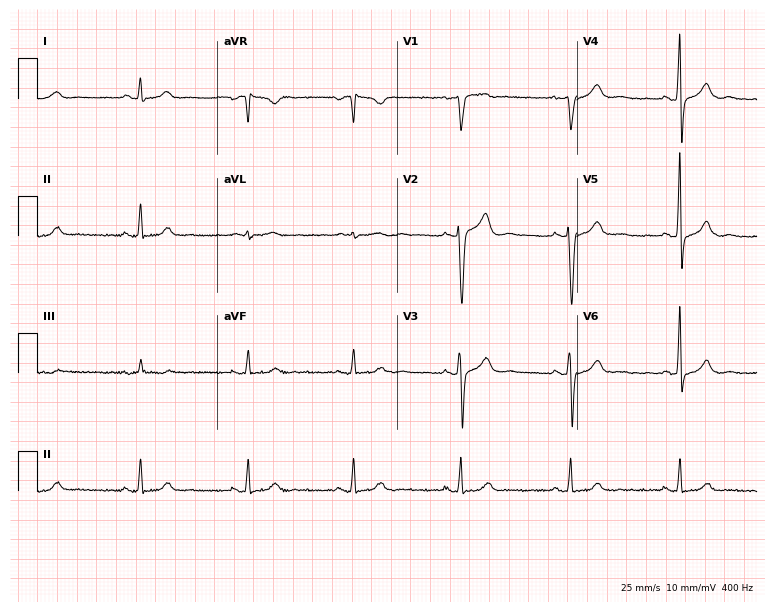
12-lead ECG from a 55-year-old man. No first-degree AV block, right bundle branch block, left bundle branch block, sinus bradycardia, atrial fibrillation or sinus tachycardia recorded for this tracing. Other findings, if any, are not listed.